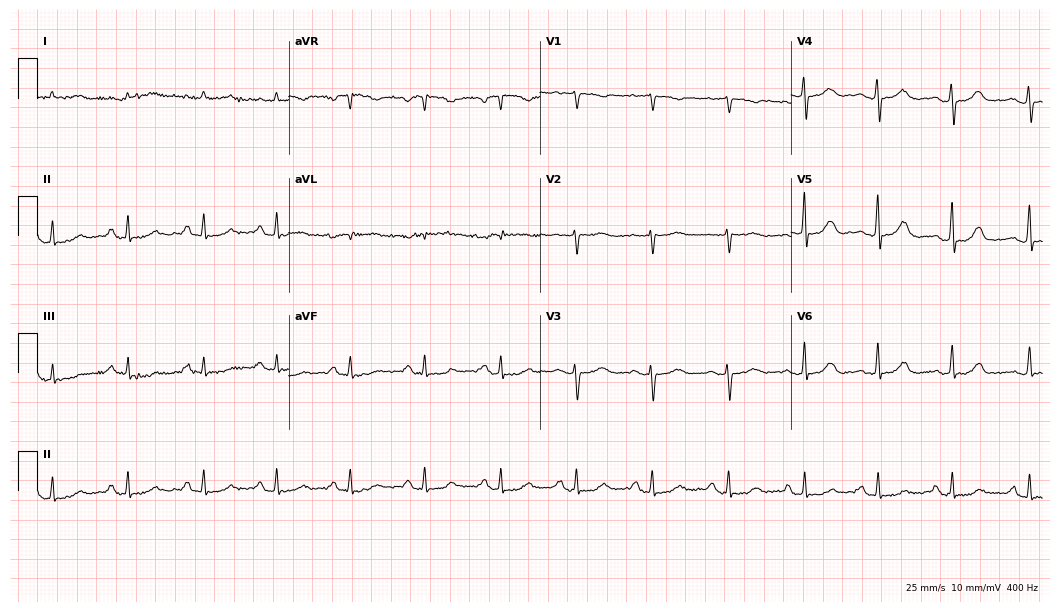
Electrocardiogram, a female patient, 60 years old. Of the six screened findings (first-degree AV block, right bundle branch block (RBBB), left bundle branch block (LBBB), sinus bradycardia, atrial fibrillation (AF), sinus tachycardia), none is recorded. Only these six findings were labelled.